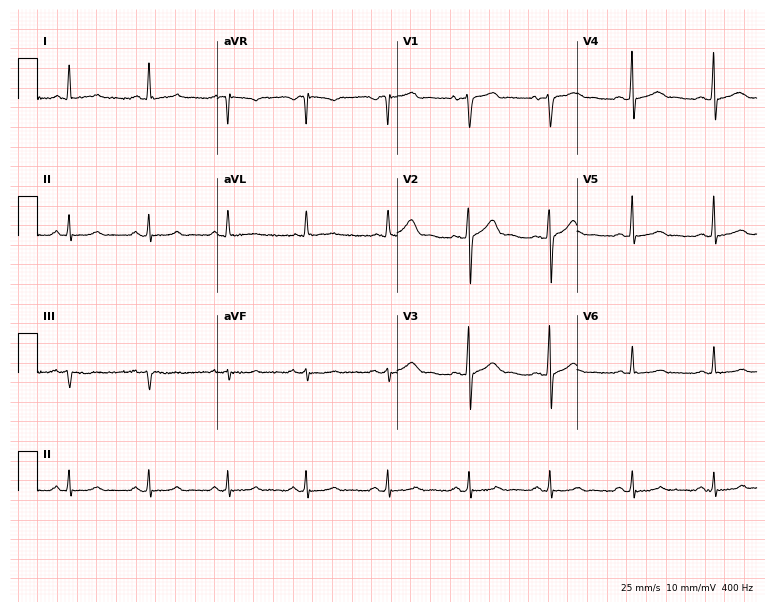
Electrocardiogram (7.3-second recording at 400 Hz), a man, 51 years old. Of the six screened findings (first-degree AV block, right bundle branch block, left bundle branch block, sinus bradycardia, atrial fibrillation, sinus tachycardia), none is recorded. Findings outside these six are not listed.